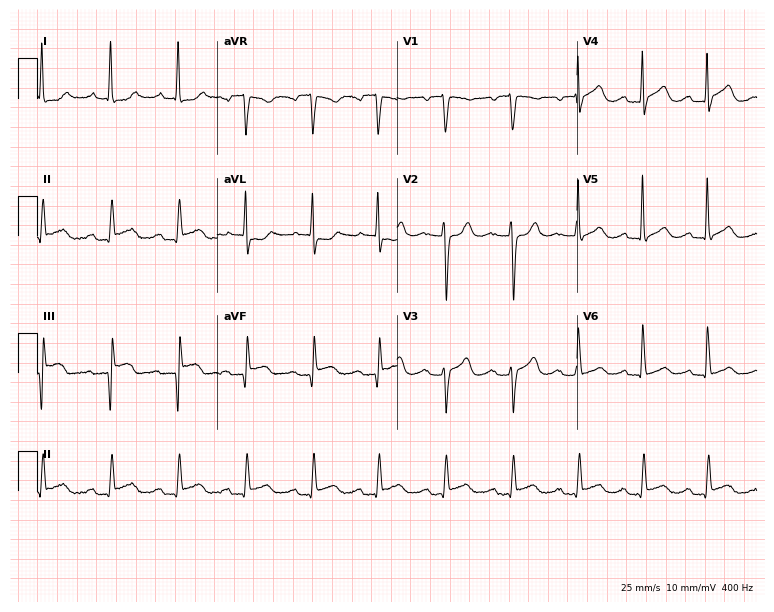
Electrocardiogram (7.3-second recording at 400 Hz), a female, 82 years old. Of the six screened findings (first-degree AV block, right bundle branch block (RBBB), left bundle branch block (LBBB), sinus bradycardia, atrial fibrillation (AF), sinus tachycardia), none is recorded.